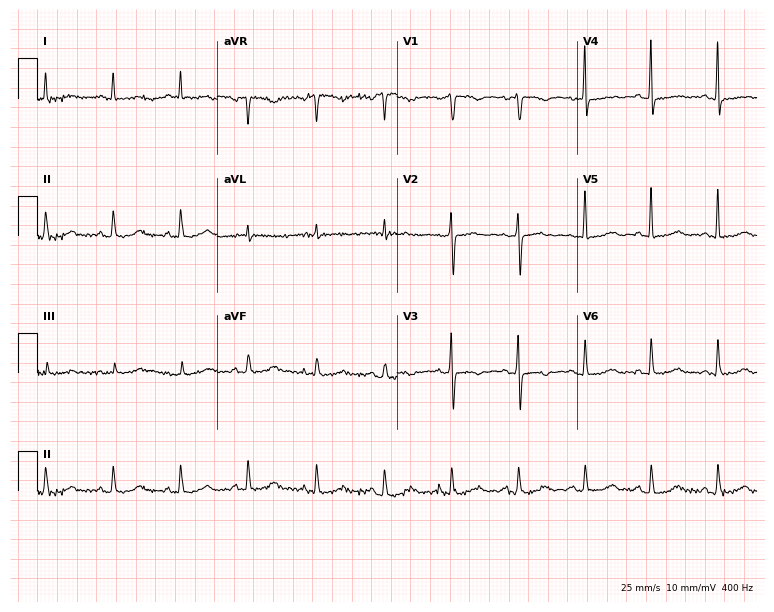
12-lead ECG from a female, 62 years old (7.3-second recording at 400 Hz). No first-degree AV block, right bundle branch block, left bundle branch block, sinus bradycardia, atrial fibrillation or sinus tachycardia recorded for this tracing. Only these six findings were labelled.